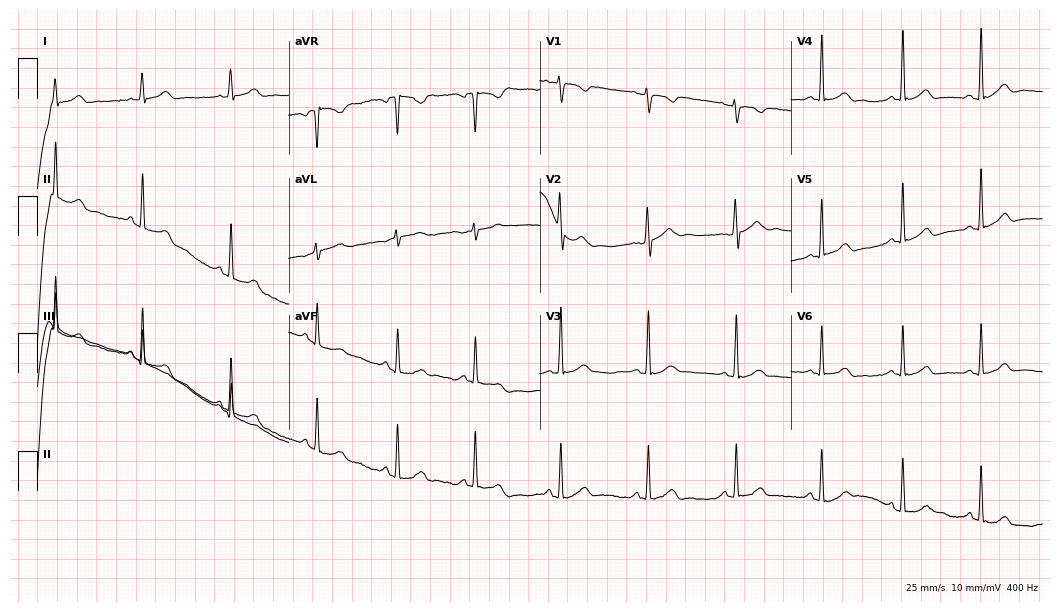
Standard 12-lead ECG recorded from a 27-year-old female patient (10.2-second recording at 400 Hz). Read as a normal ECG.